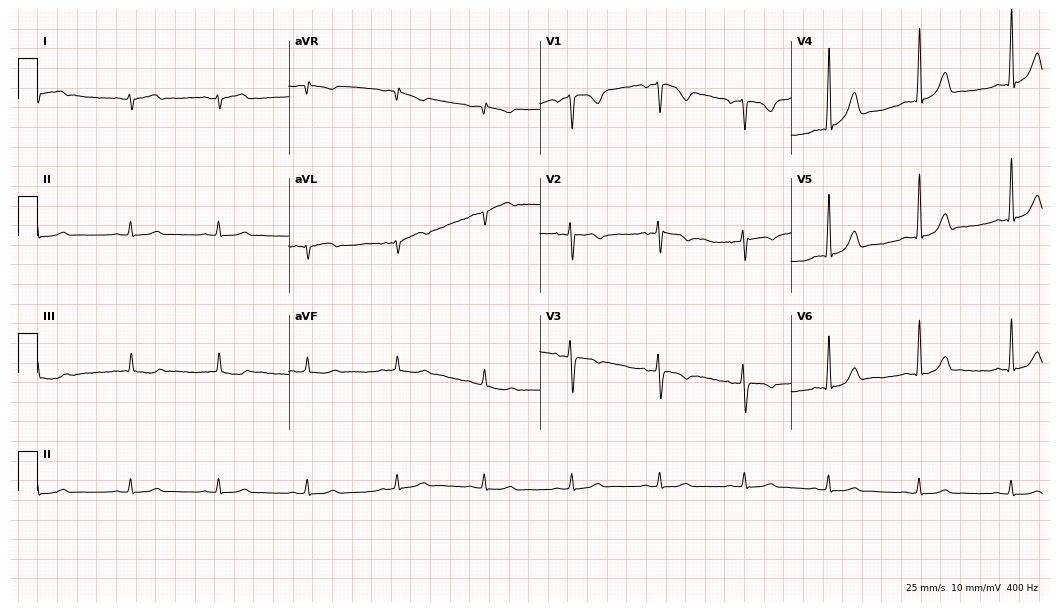
12-lead ECG from a 24-year-old woman (10.2-second recording at 400 Hz). No first-degree AV block, right bundle branch block, left bundle branch block, sinus bradycardia, atrial fibrillation or sinus tachycardia recorded for this tracing. Findings outside these six are not listed.